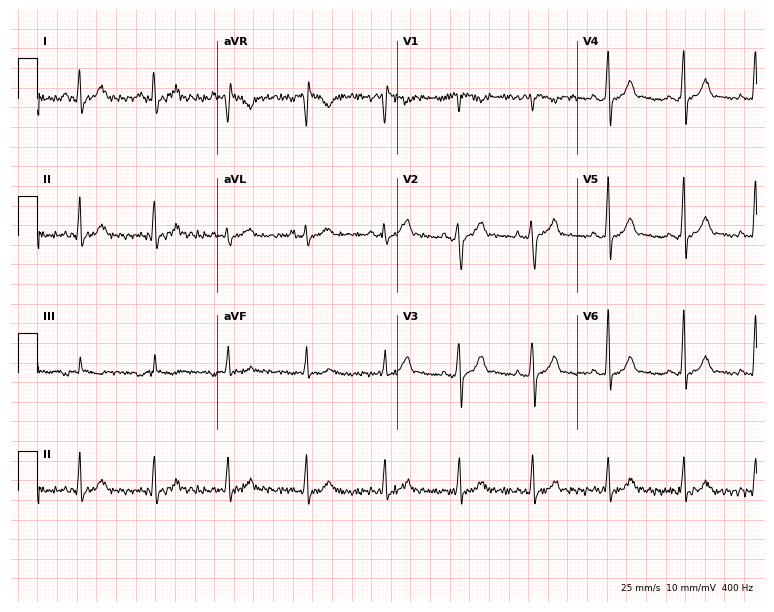
Electrocardiogram, a 31-year-old male. Of the six screened findings (first-degree AV block, right bundle branch block (RBBB), left bundle branch block (LBBB), sinus bradycardia, atrial fibrillation (AF), sinus tachycardia), none is recorded. Only these six findings were labelled.